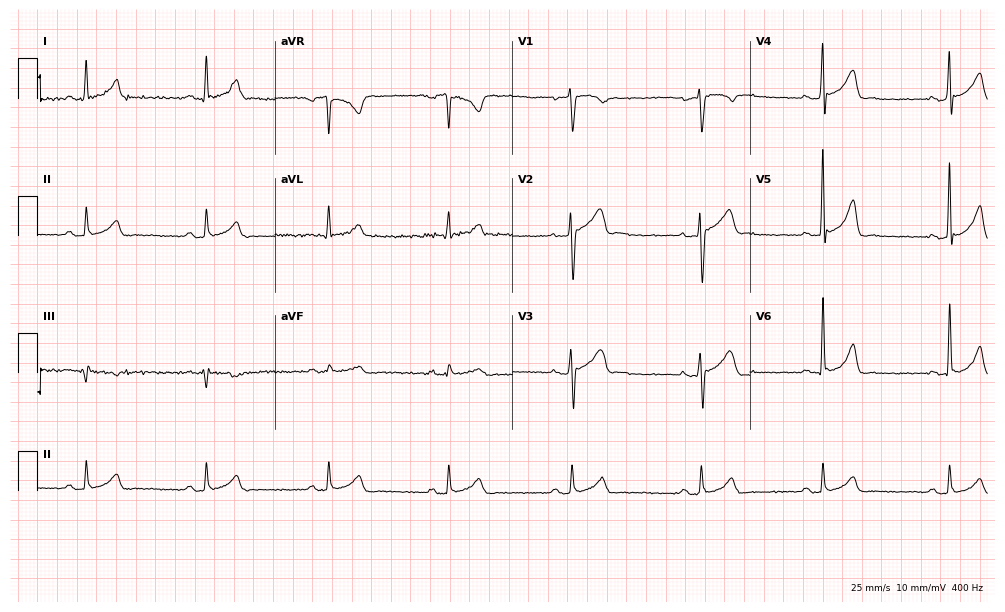
12-lead ECG from a male, 42 years old. Findings include sinus bradycardia (a sinus rate of 50 beats per minute or less).